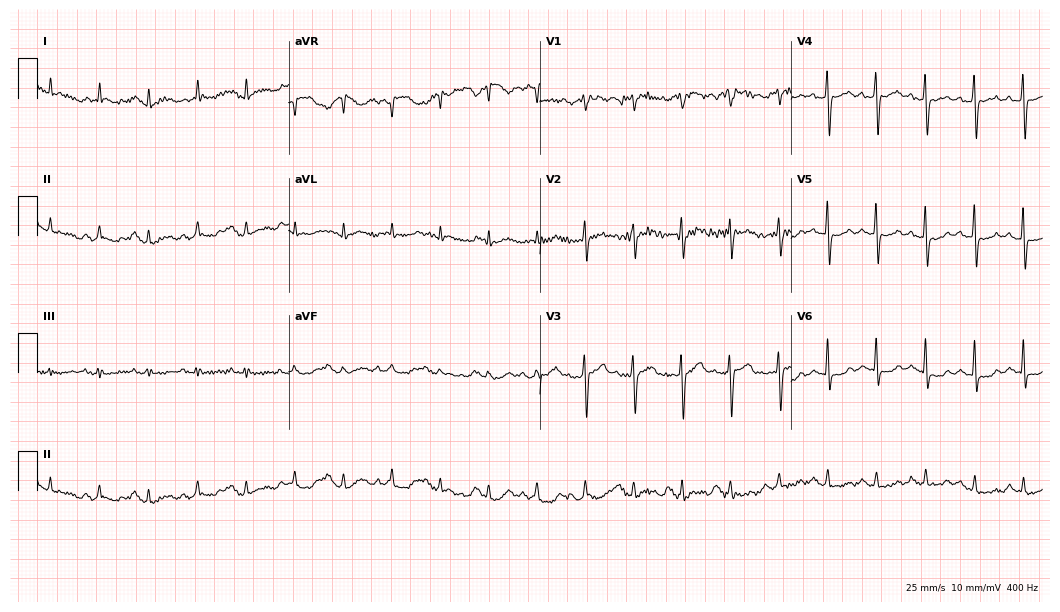
Standard 12-lead ECG recorded from a male, 77 years old. None of these six findings is recorded: first-degree AV block, right bundle branch block (RBBB), left bundle branch block (LBBB), sinus bradycardia, atrial fibrillation (AF), sinus tachycardia.